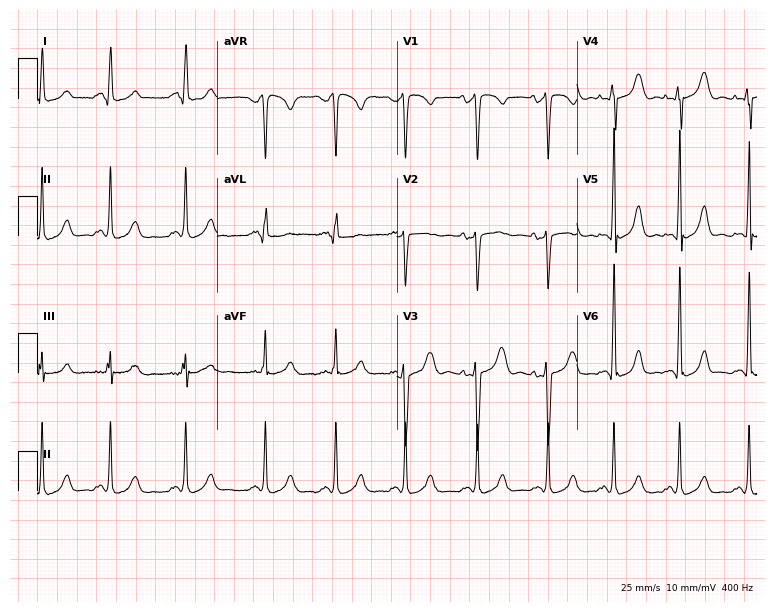
Standard 12-lead ECG recorded from a 20-year-old female patient (7.3-second recording at 400 Hz). None of these six findings is recorded: first-degree AV block, right bundle branch block, left bundle branch block, sinus bradycardia, atrial fibrillation, sinus tachycardia.